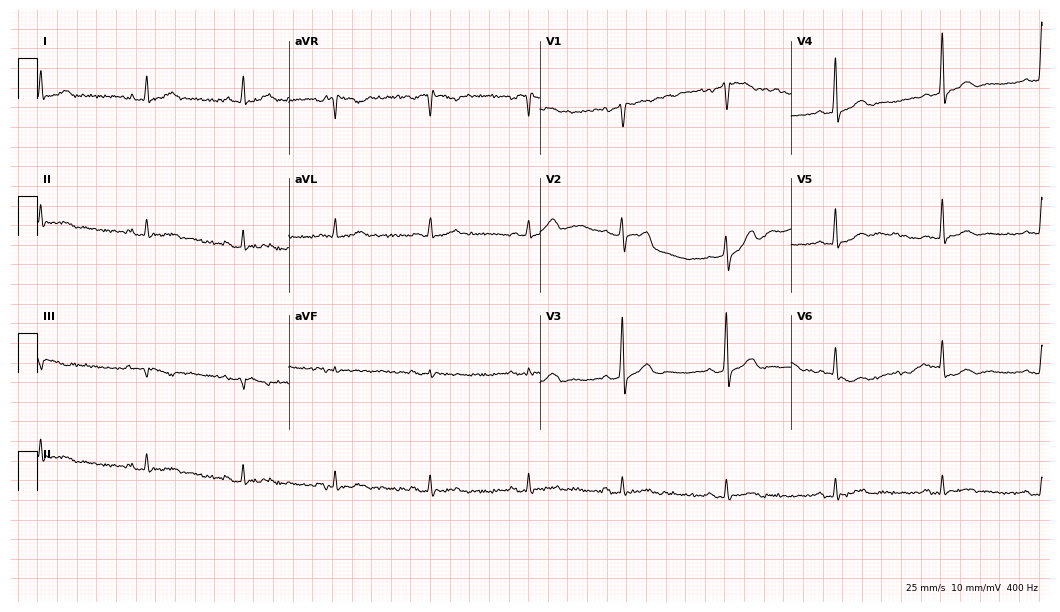
Resting 12-lead electrocardiogram. Patient: a male, 50 years old. Read as a normal ECG.